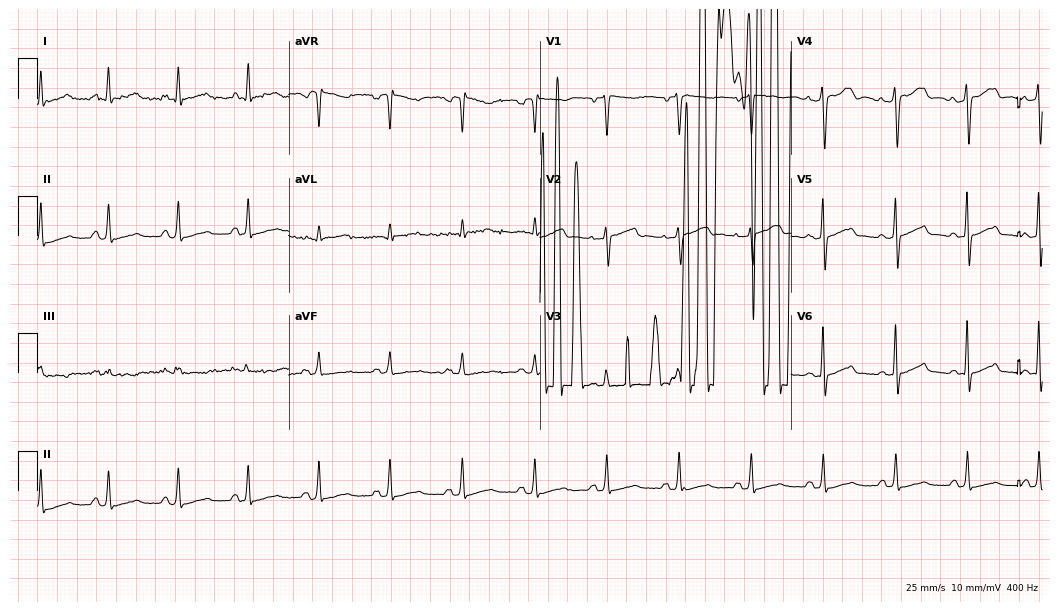
12-lead ECG from a 50-year-old woman. No first-degree AV block, right bundle branch block (RBBB), left bundle branch block (LBBB), sinus bradycardia, atrial fibrillation (AF) or sinus tachycardia recorded for this tracing.